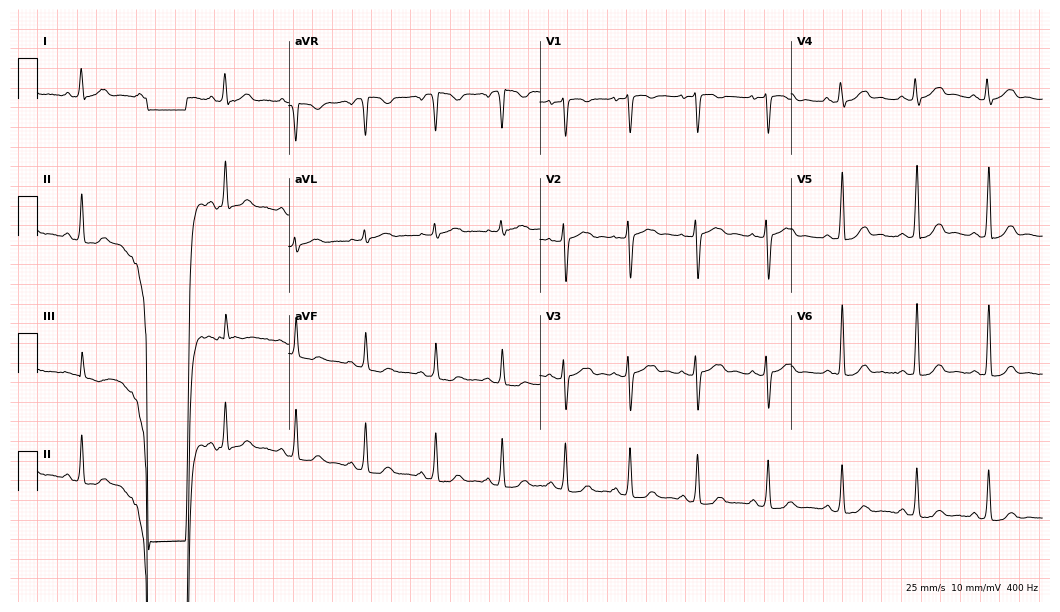
12-lead ECG from a 28-year-old female patient. Screened for six findings — first-degree AV block, right bundle branch block, left bundle branch block, sinus bradycardia, atrial fibrillation, sinus tachycardia — none is recorded. Only these six findings were labelled.